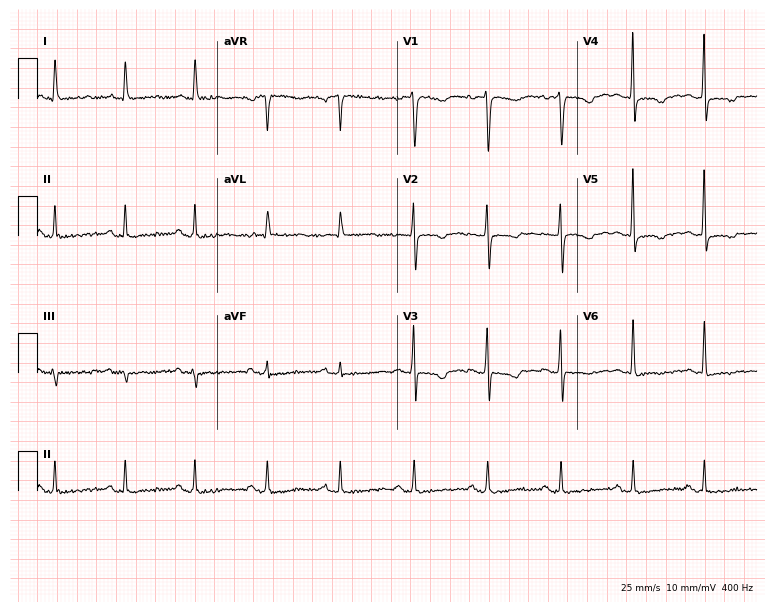
12-lead ECG from a female patient, 69 years old (7.3-second recording at 400 Hz). No first-degree AV block, right bundle branch block, left bundle branch block, sinus bradycardia, atrial fibrillation or sinus tachycardia recorded for this tracing. Only these six findings were labelled.